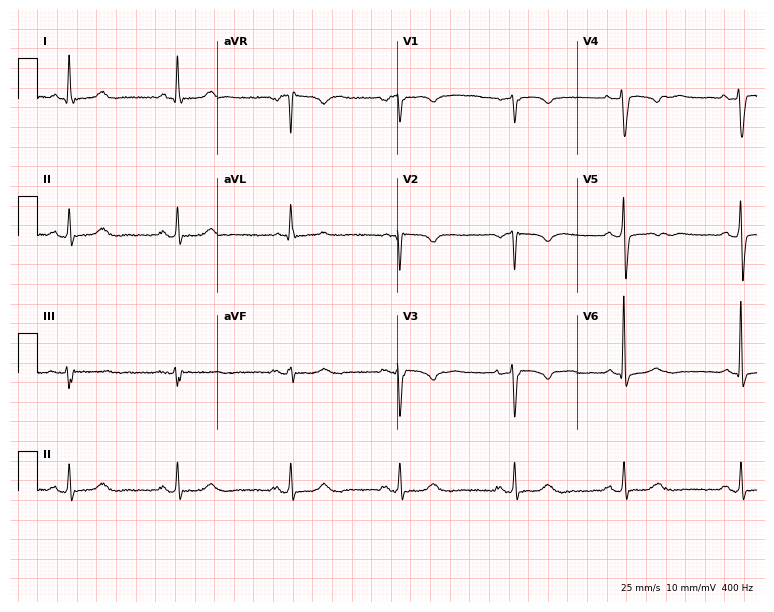
Standard 12-lead ECG recorded from a female patient, 65 years old (7.3-second recording at 400 Hz). Read as a normal ECG.